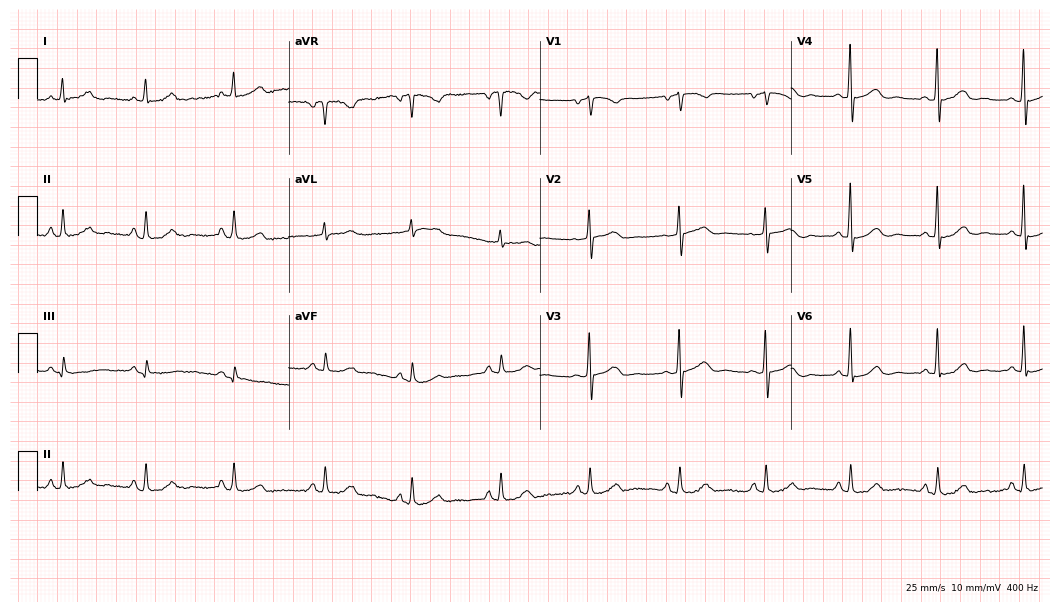
Electrocardiogram (10.2-second recording at 400 Hz), a 61-year-old female patient. Overall reading on record: normal ECG.